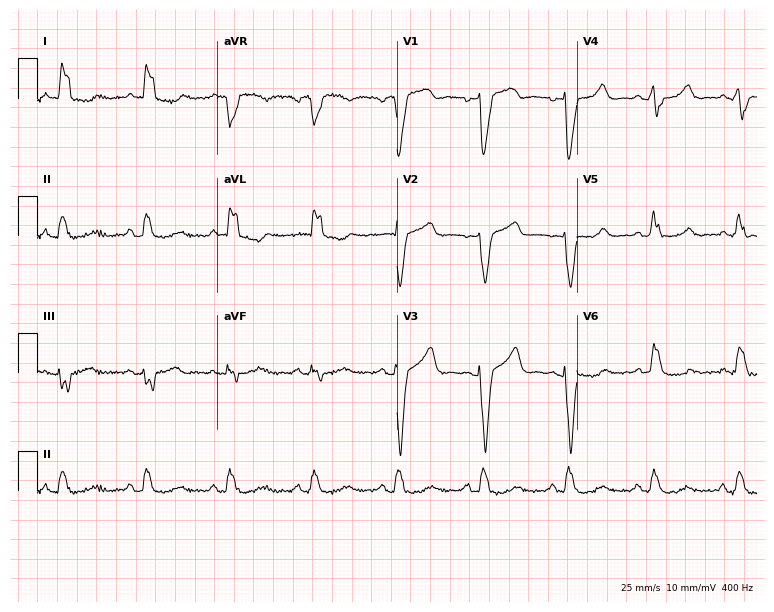
Electrocardiogram, an 85-year-old male patient. Interpretation includes left bundle branch block.